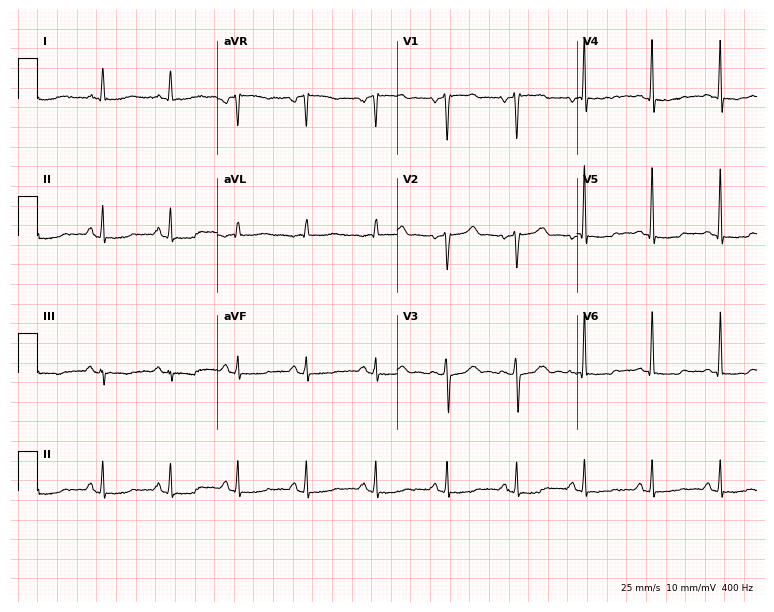
Resting 12-lead electrocardiogram. Patient: a 58-year-old female. None of these six findings is recorded: first-degree AV block, right bundle branch block, left bundle branch block, sinus bradycardia, atrial fibrillation, sinus tachycardia.